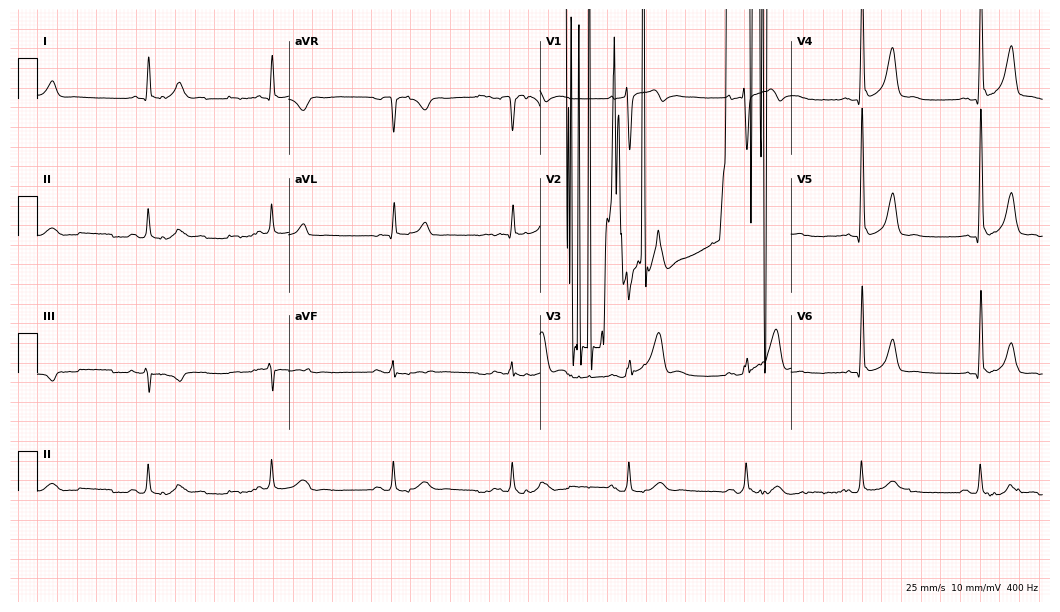
Standard 12-lead ECG recorded from a 65-year-old male (10.2-second recording at 400 Hz). None of these six findings is recorded: first-degree AV block, right bundle branch block, left bundle branch block, sinus bradycardia, atrial fibrillation, sinus tachycardia.